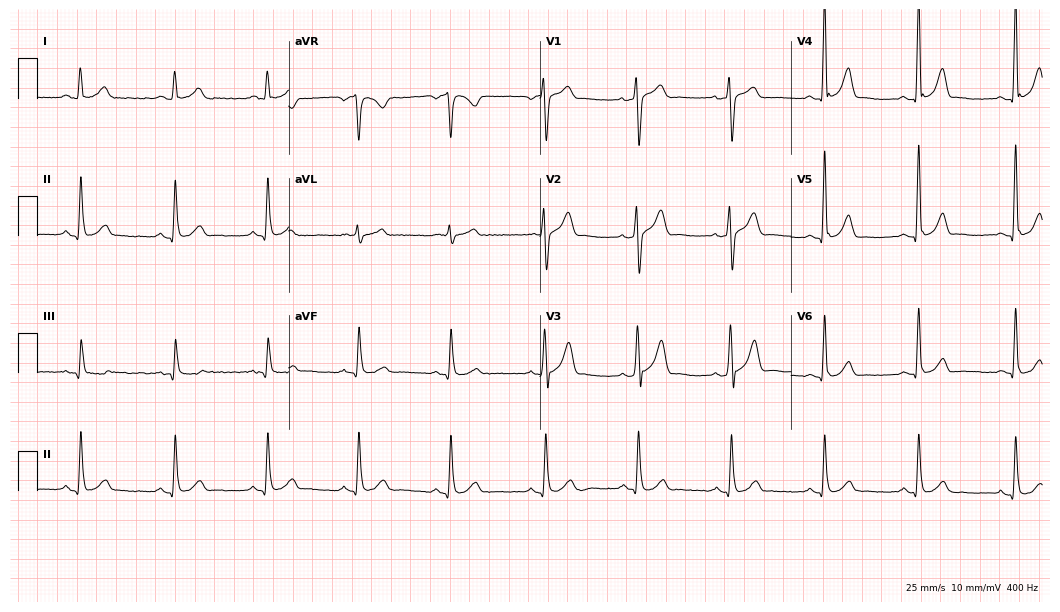
Electrocardiogram (10.2-second recording at 400 Hz), a man, 54 years old. Of the six screened findings (first-degree AV block, right bundle branch block, left bundle branch block, sinus bradycardia, atrial fibrillation, sinus tachycardia), none is recorded. Only these six findings were labelled.